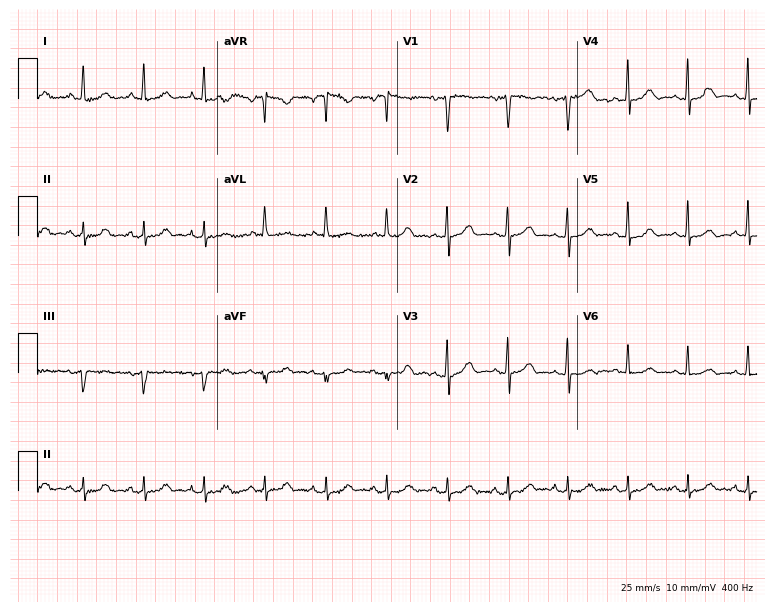
Electrocardiogram, a 57-year-old female patient. Overall reading on record: normal ECG.